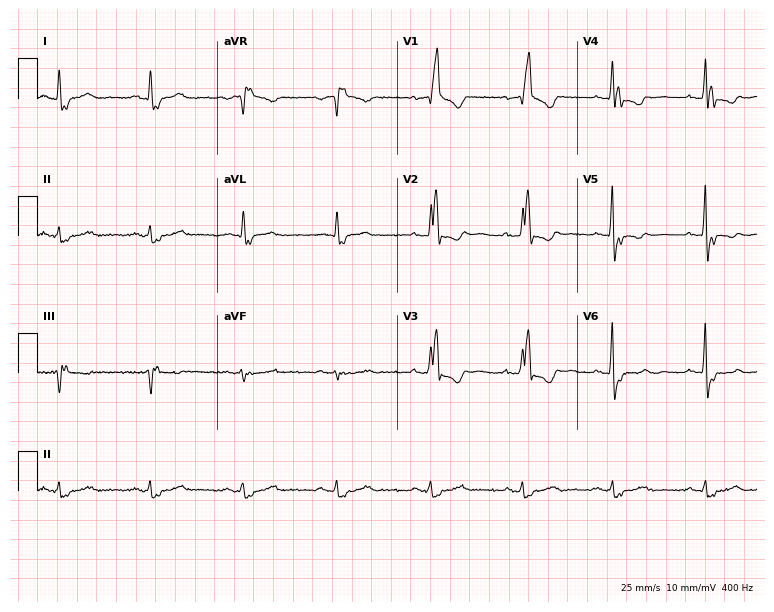
Resting 12-lead electrocardiogram (7.3-second recording at 400 Hz). Patient: an 80-year-old man. The tracing shows right bundle branch block.